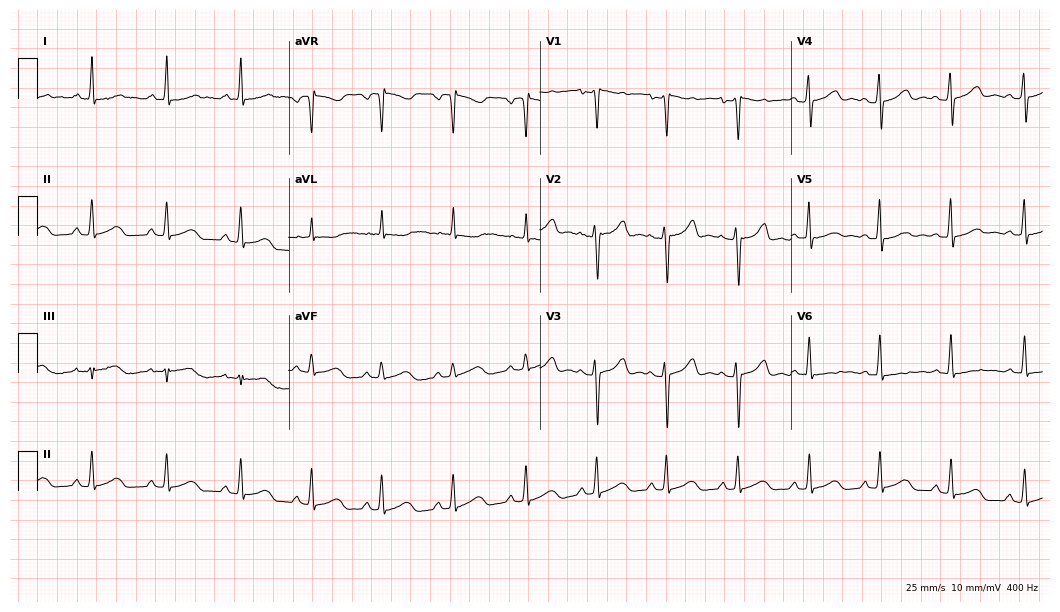
12-lead ECG from a 32-year-old female patient. Recorded interpretation: within normal limits.